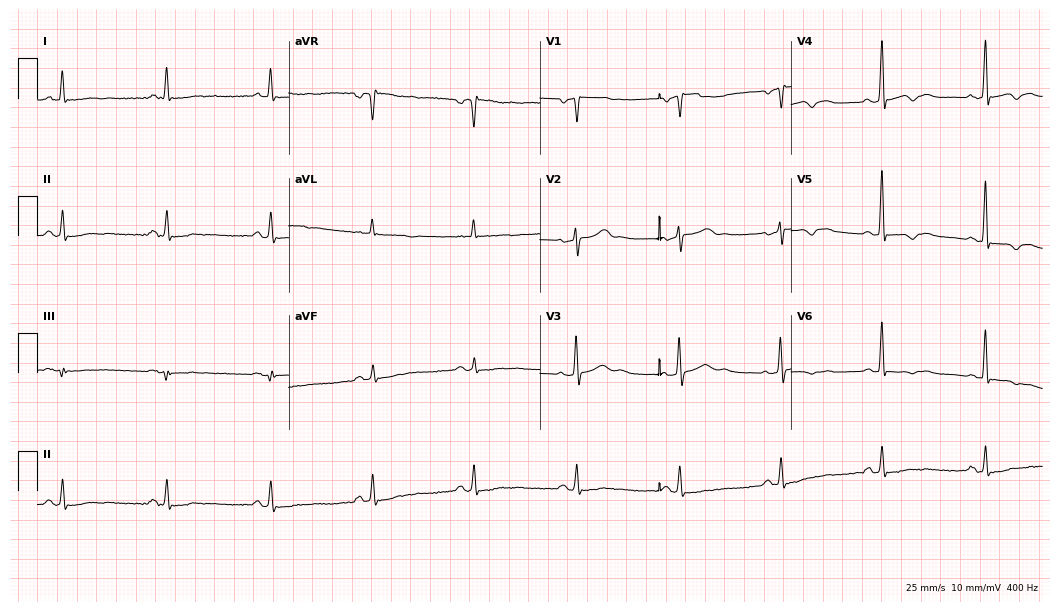
Resting 12-lead electrocardiogram (10.2-second recording at 400 Hz). Patient: a male, 62 years old. None of these six findings is recorded: first-degree AV block, right bundle branch block, left bundle branch block, sinus bradycardia, atrial fibrillation, sinus tachycardia.